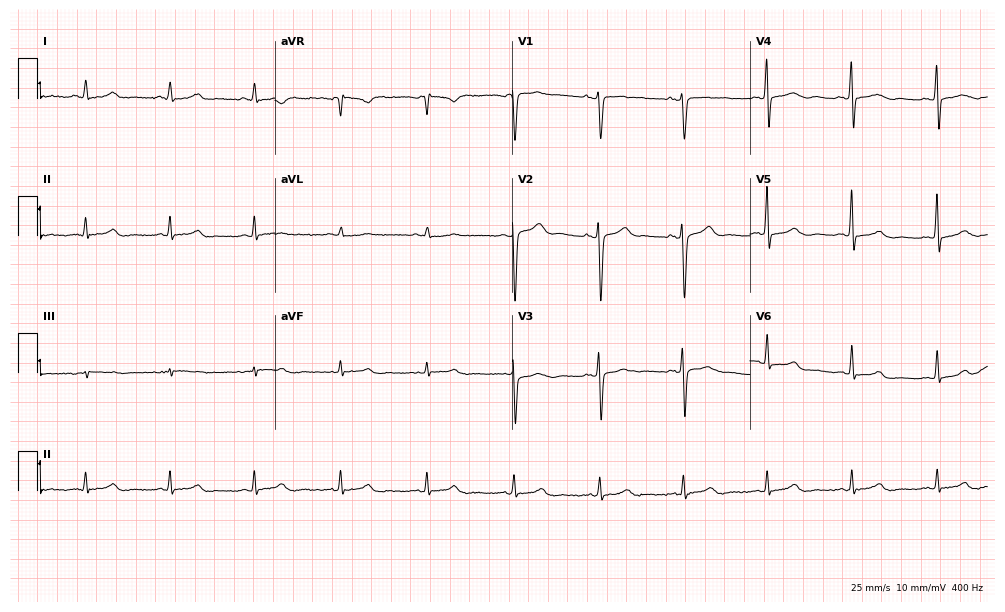
12-lead ECG from a female patient, 48 years old (9.7-second recording at 400 Hz). Recorded interpretation: within normal limits.